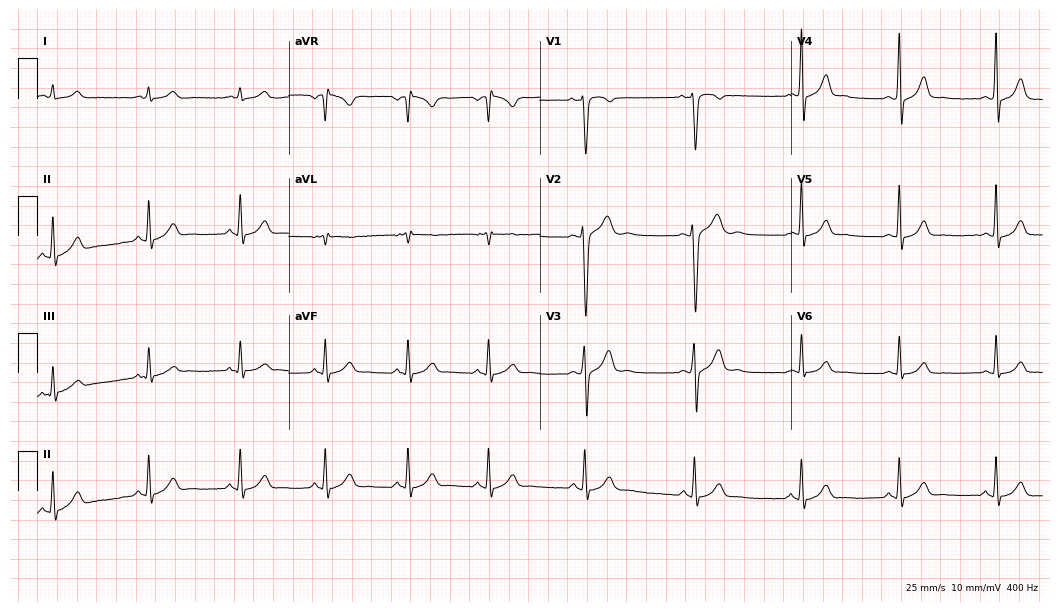
Resting 12-lead electrocardiogram (10.2-second recording at 400 Hz). Patient: a male, 22 years old. Read as a normal ECG.